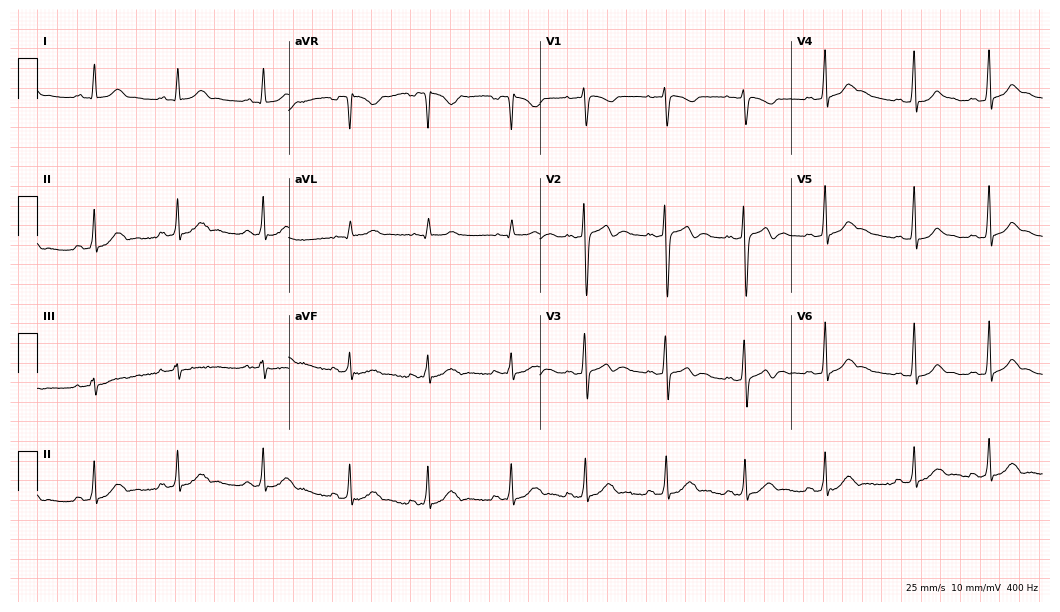
12-lead ECG from a 25-year-old female patient (10.2-second recording at 400 Hz). Recorded interpretation: within normal limits.